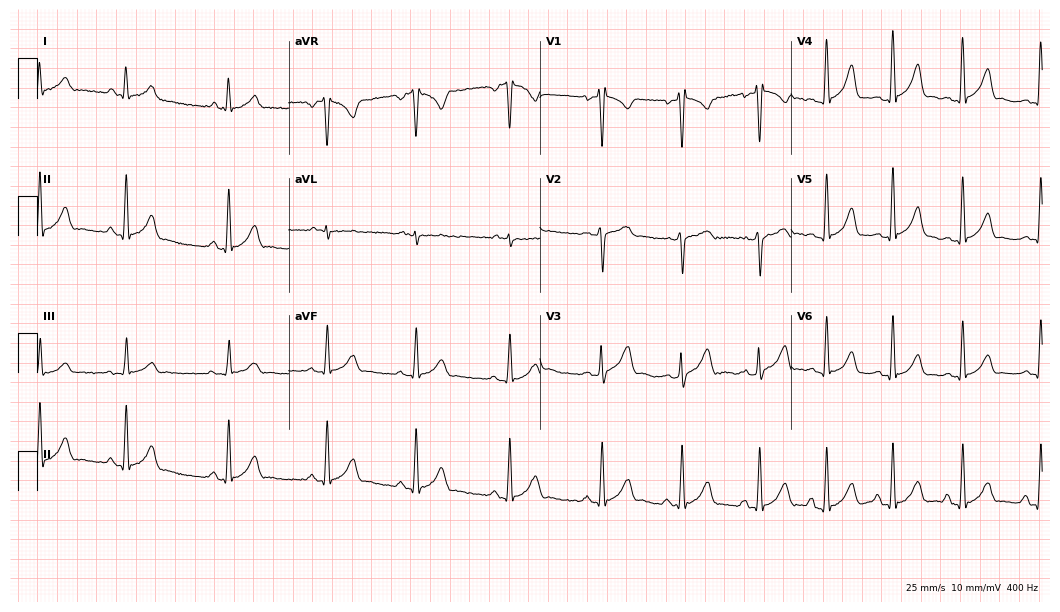
Standard 12-lead ECG recorded from a man, 24 years old. None of these six findings is recorded: first-degree AV block, right bundle branch block, left bundle branch block, sinus bradycardia, atrial fibrillation, sinus tachycardia. Other findings, if any, are not listed.